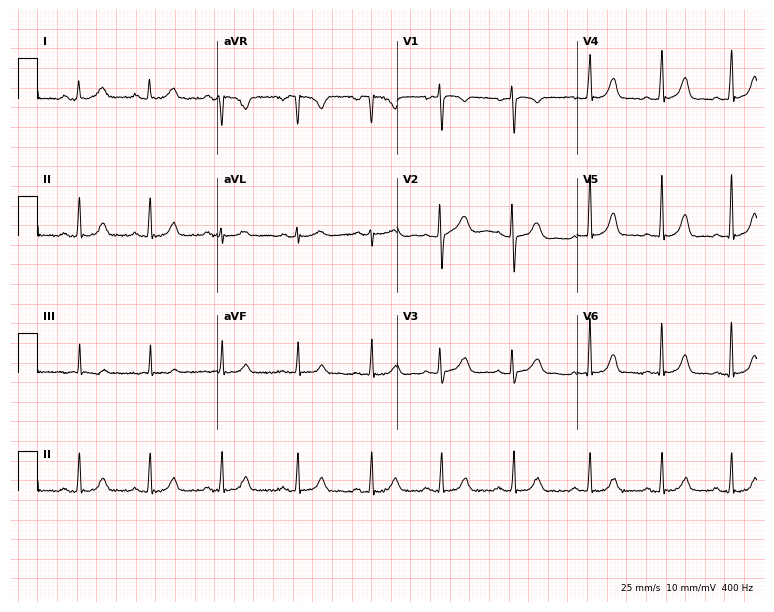
12-lead ECG from a female, 25 years old. Recorded interpretation: within normal limits.